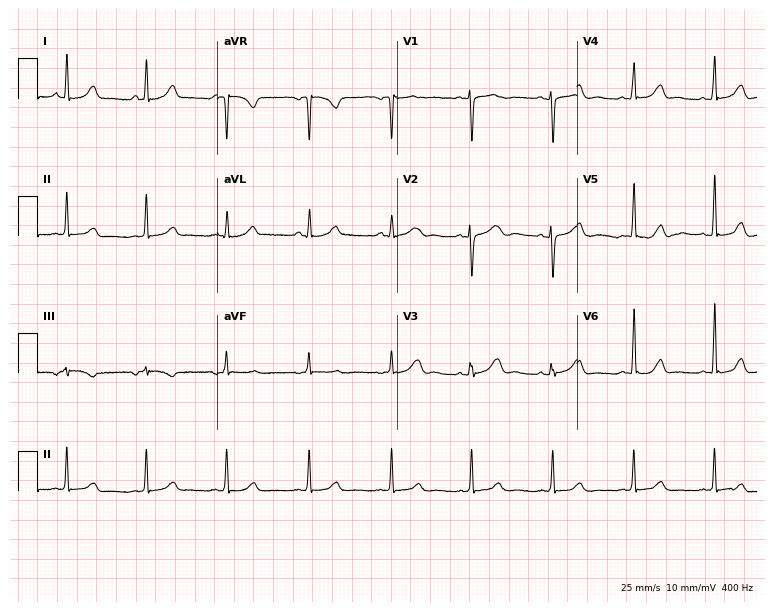
12-lead ECG from a female, 29 years old. Recorded interpretation: within normal limits.